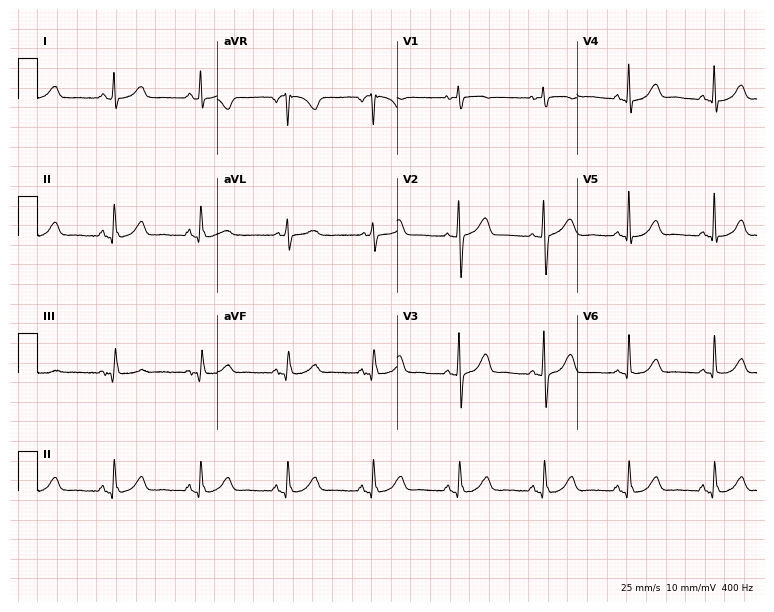
Resting 12-lead electrocardiogram. Patient: a 64-year-old woman. None of these six findings is recorded: first-degree AV block, right bundle branch block, left bundle branch block, sinus bradycardia, atrial fibrillation, sinus tachycardia. Findings outside these six are not listed.